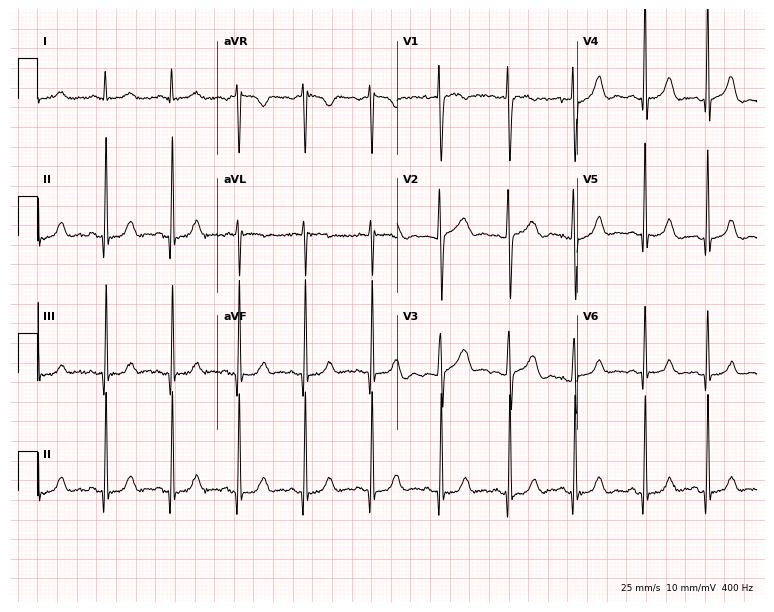
Electrocardiogram (7.3-second recording at 400 Hz), a 22-year-old female patient. Of the six screened findings (first-degree AV block, right bundle branch block, left bundle branch block, sinus bradycardia, atrial fibrillation, sinus tachycardia), none is recorded. Other findings, if any, are not listed.